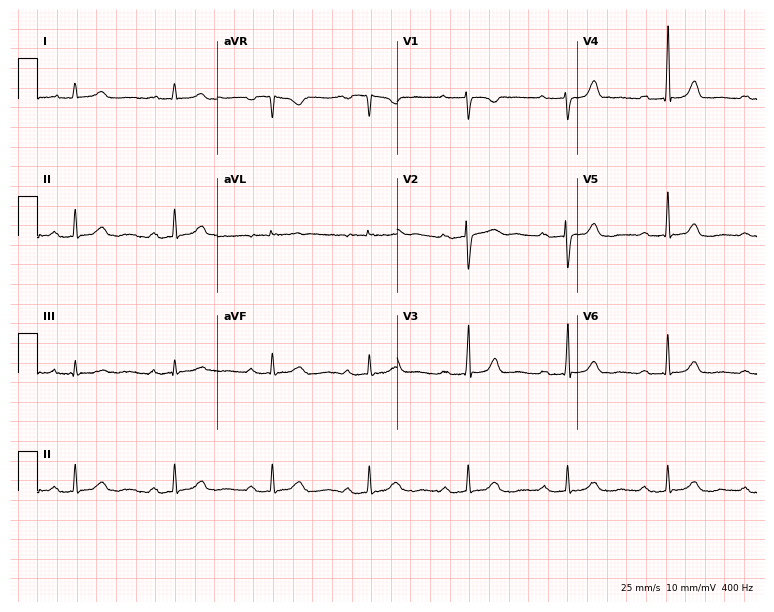
12-lead ECG from a female patient, 44 years old. Findings include first-degree AV block.